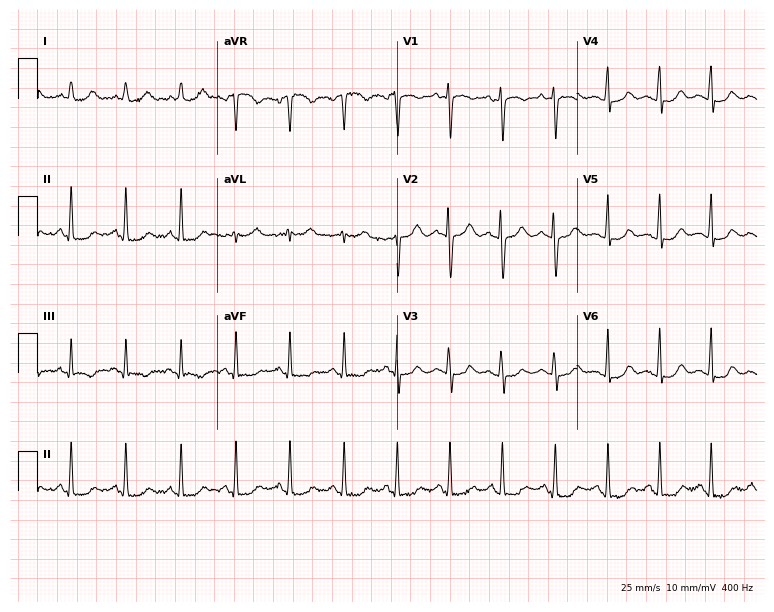
12-lead ECG from a 19-year-old woman. Shows sinus tachycardia (a sinus rate of 100 beats per minute or more).